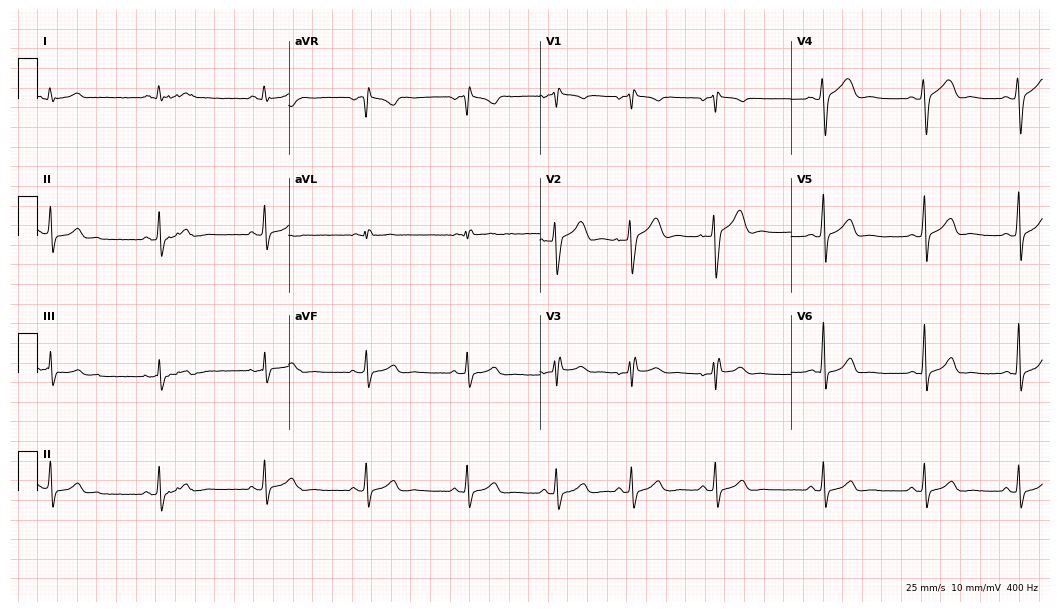
12-lead ECG (10.2-second recording at 400 Hz) from a 26-year-old woman. Screened for six findings — first-degree AV block, right bundle branch block, left bundle branch block, sinus bradycardia, atrial fibrillation, sinus tachycardia — none is recorded. Findings outside these six are not listed.